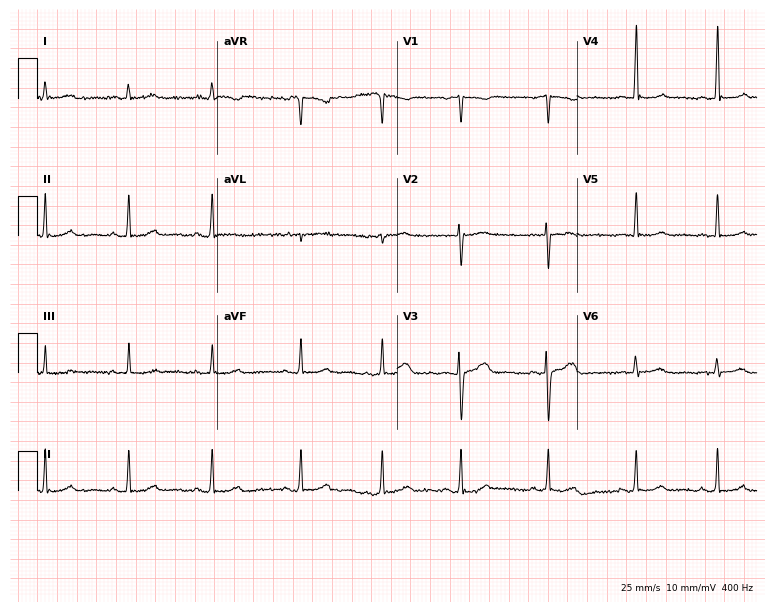
12-lead ECG from a female patient, 26 years old. No first-degree AV block, right bundle branch block, left bundle branch block, sinus bradycardia, atrial fibrillation or sinus tachycardia recorded for this tracing. Findings outside these six are not listed.